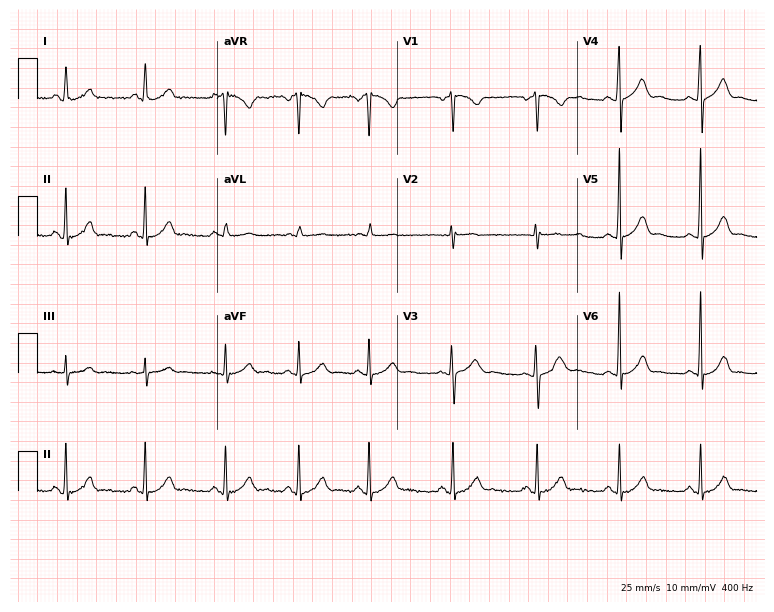
12-lead ECG from a 25-year-old woman. Recorded interpretation: within normal limits.